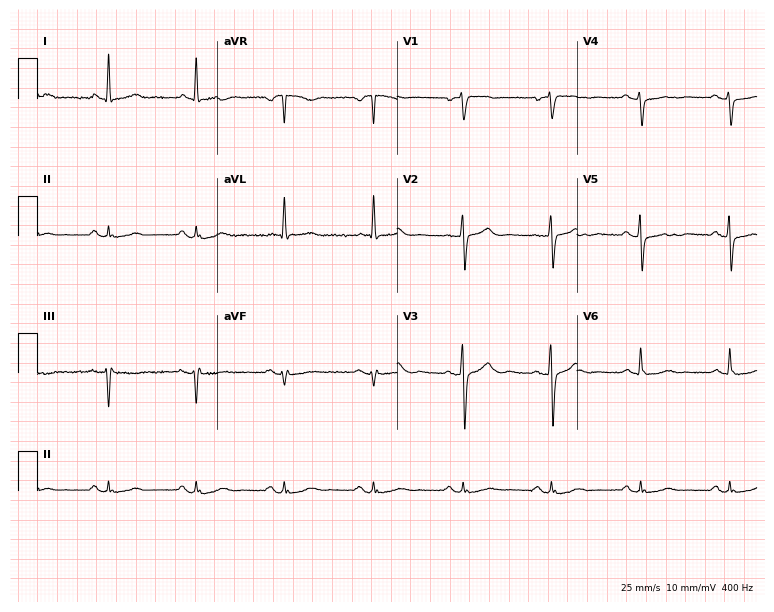
12-lead ECG from a 74-year-old female. Recorded interpretation: within normal limits.